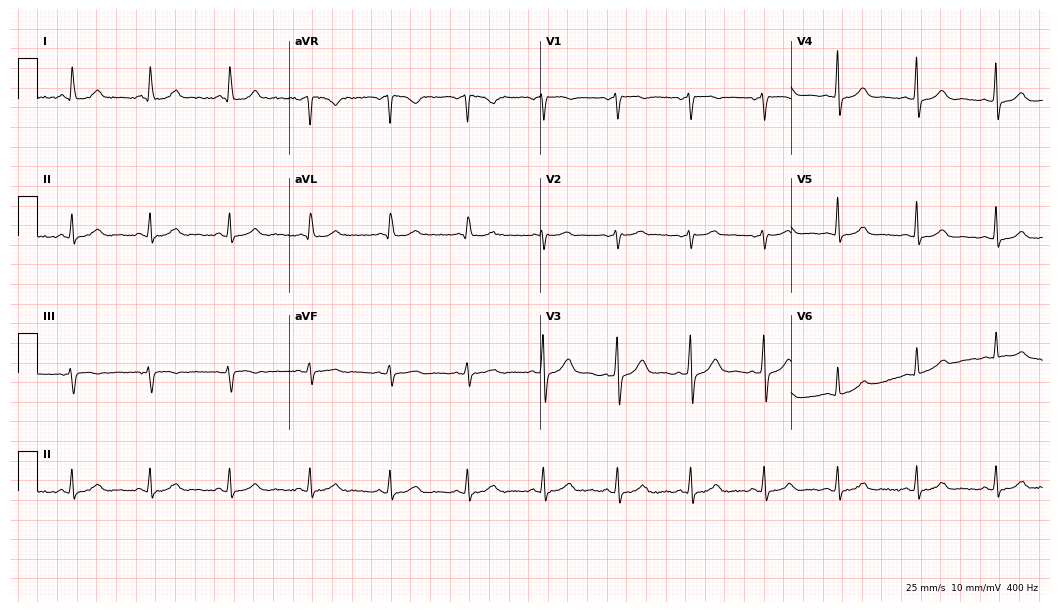
ECG (10.2-second recording at 400 Hz) — a 50-year-old woman. Labelled as a normal ECG.